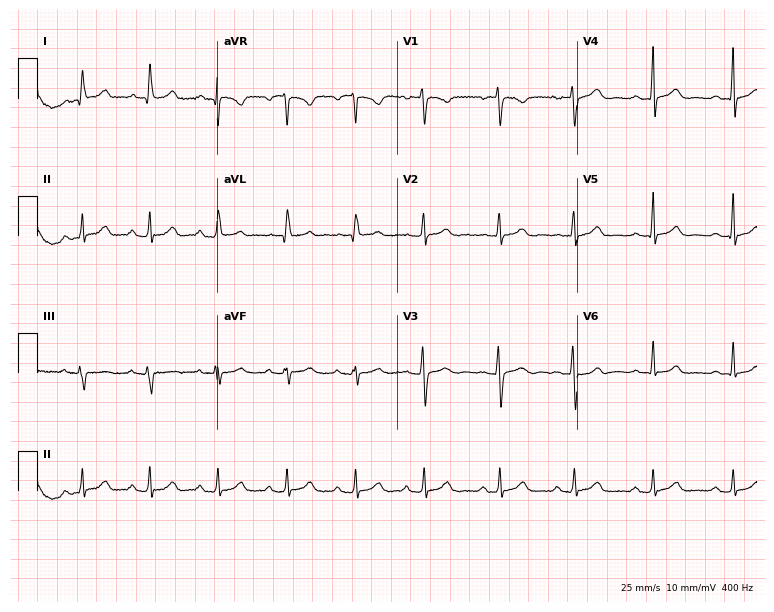
Resting 12-lead electrocardiogram. Patient: a woman, 35 years old. Read as a normal ECG.